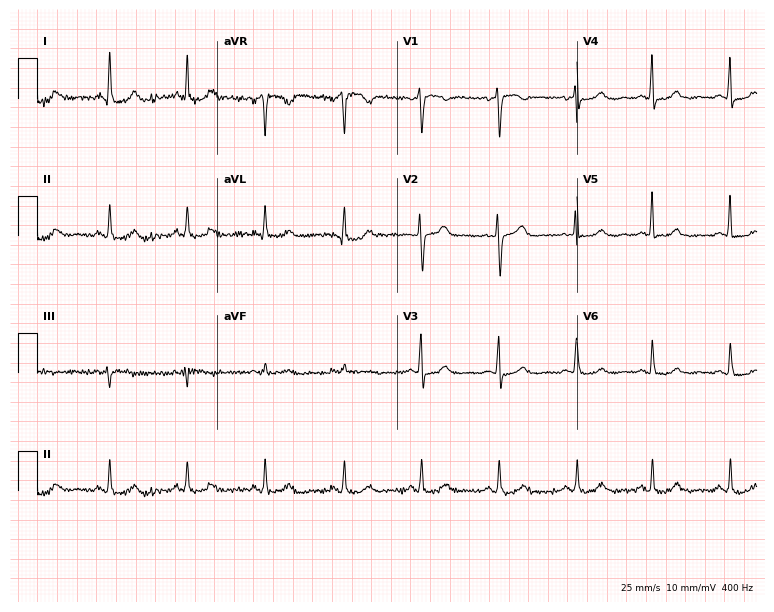
Electrocardiogram, a female, 53 years old. Overall reading on record: normal ECG.